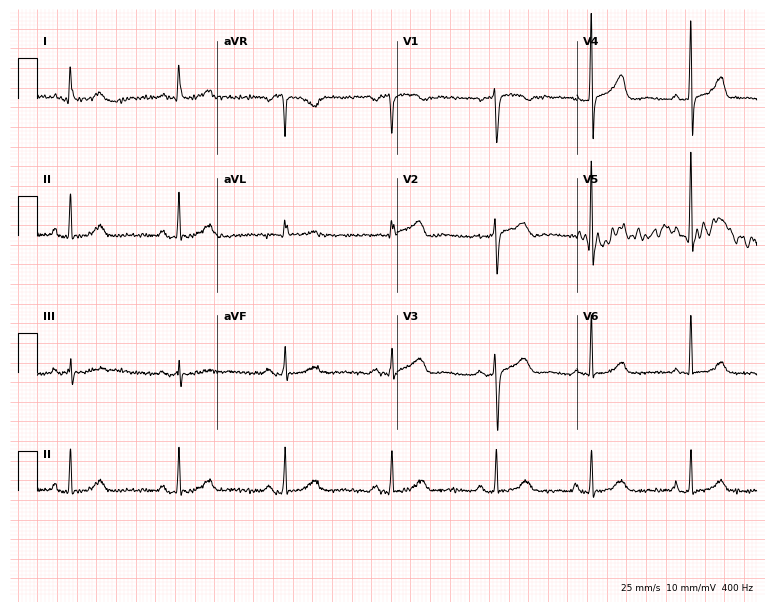
12-lead ECG from a female patient, 53 years old. Recorded interpretation: within normal limits.